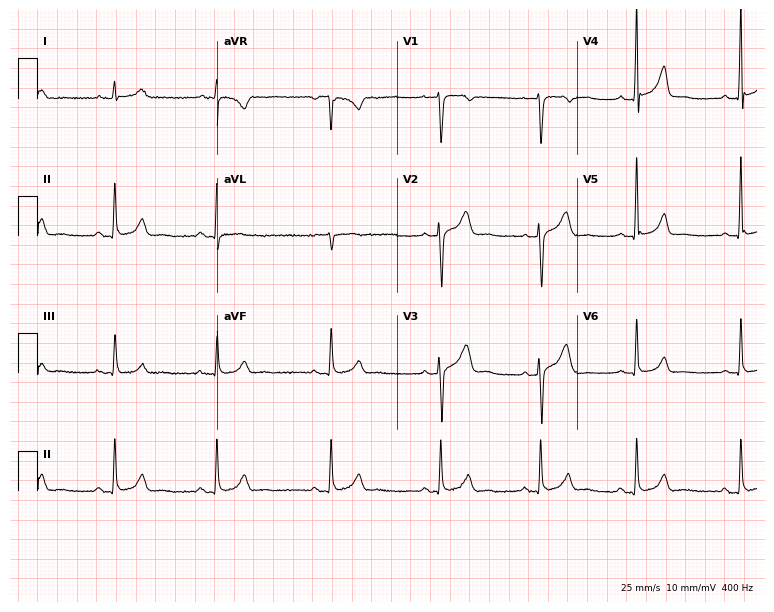
Electrocardiogram, a 33-year-old male patient. Of the six screened findings (first-degree AV block, right bundle branch block, left bundle branch block, sinus bradycardia, atrial fibrillation, sinus tachycardia), none is recorded. Findings outside these six are not listed.